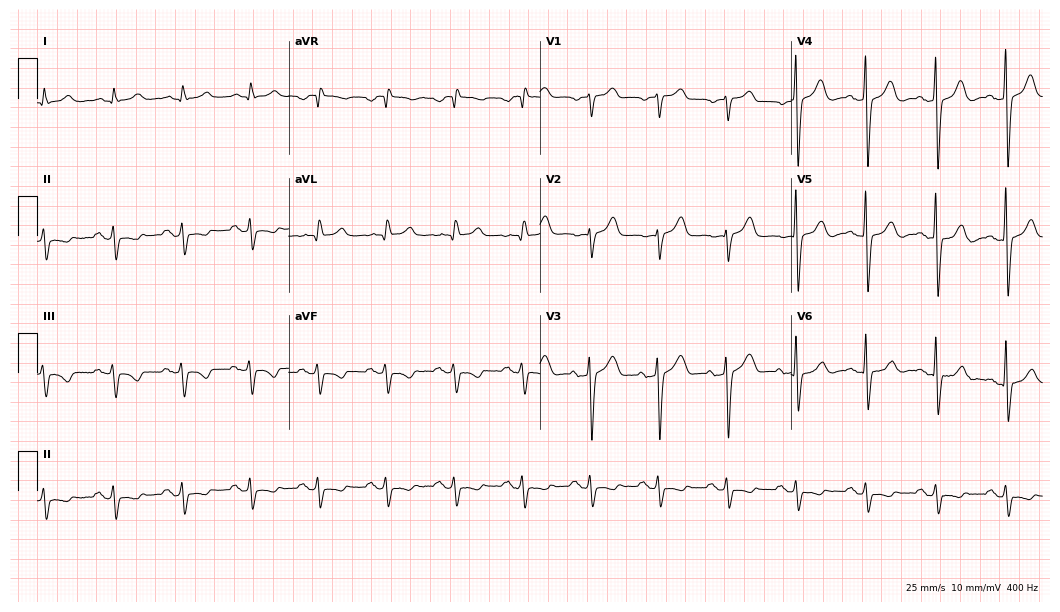
ECG — a male, 77 years old. Screened for six findings — first-degree AV block, right bundle branch block, left bundle branch block, sinus bradycardia, atrial fibrillation, sinus tachycardia — none is recorded. Other findings, if any, are not listed.